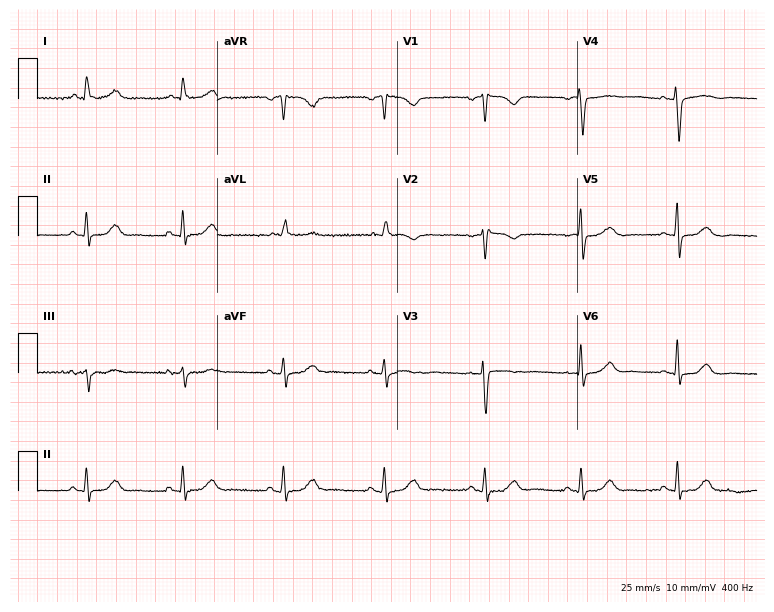
12-lead ECG from a female, 65 years old (7.3-second recording at 400 Hz). No first-degree AV block, right bundle branch block, left bundle branch block, sinus bradycardia, atrial fibrillation or sinus tachycardia recorded for this tracing.